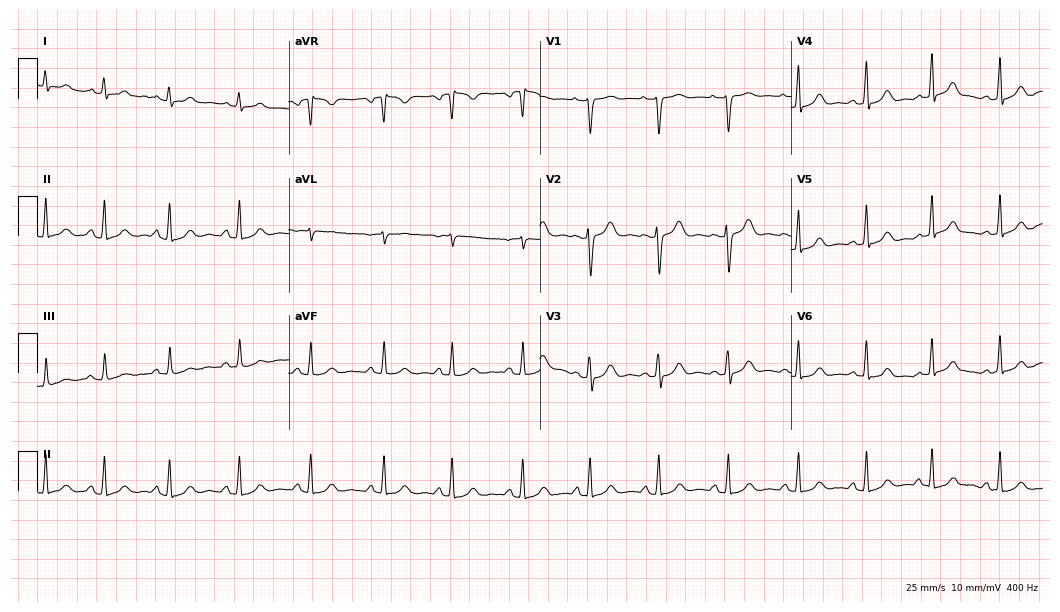
Electrocardiogram (10.2-second recording at 400 Hz), a 27-year-old woman. Overall reading on record: normal ECG.